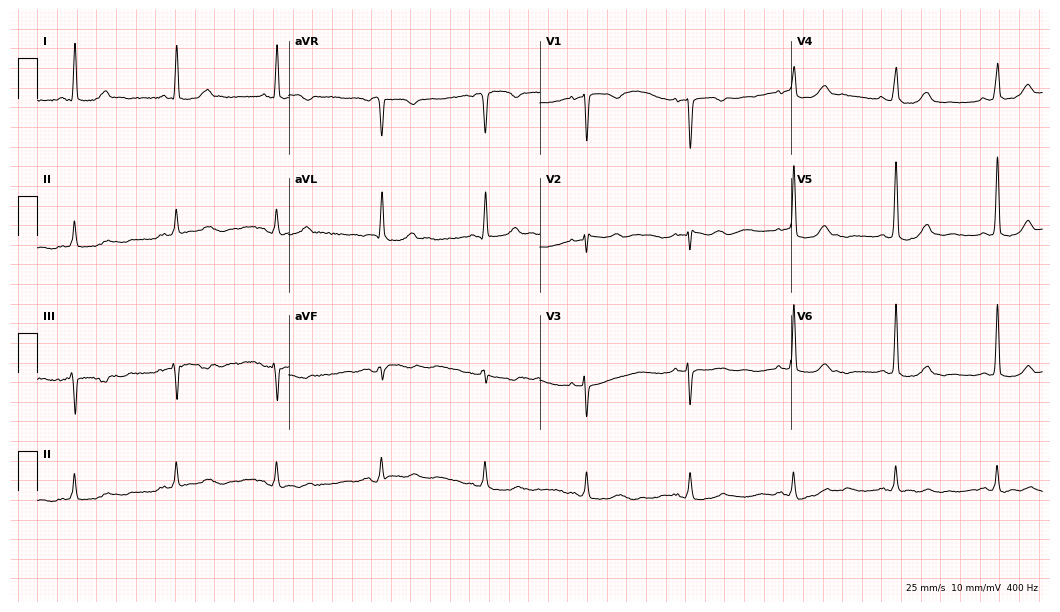
Resting 12-lead electrocardiogram. Patient: a female, 61 years old. Read as a normal ECG.